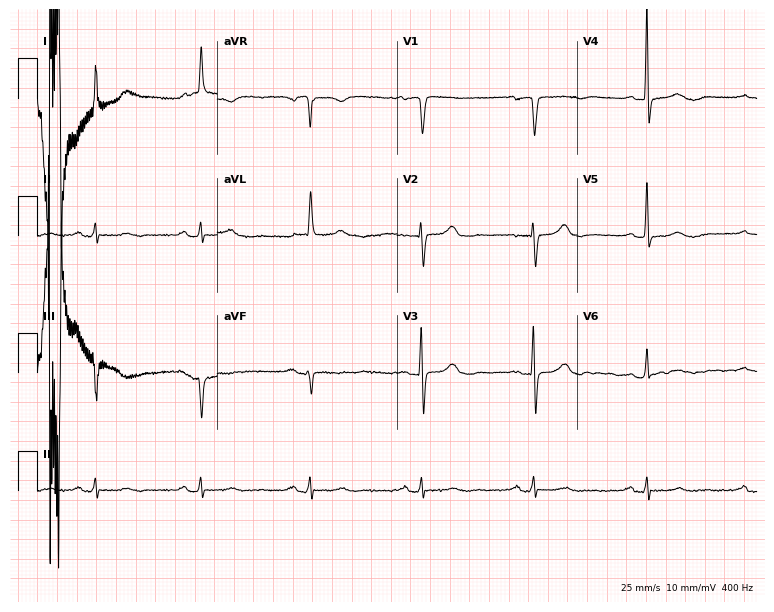
12-lead ECG from an 84-year-old female patient. Screened for six findings — first-degree AV block, right bundle branch block, left bundle branch block, sinus bradycardia, atrial fibrillation, sinus tachycardia — none is recorded. Other findings, if any, are not listed.